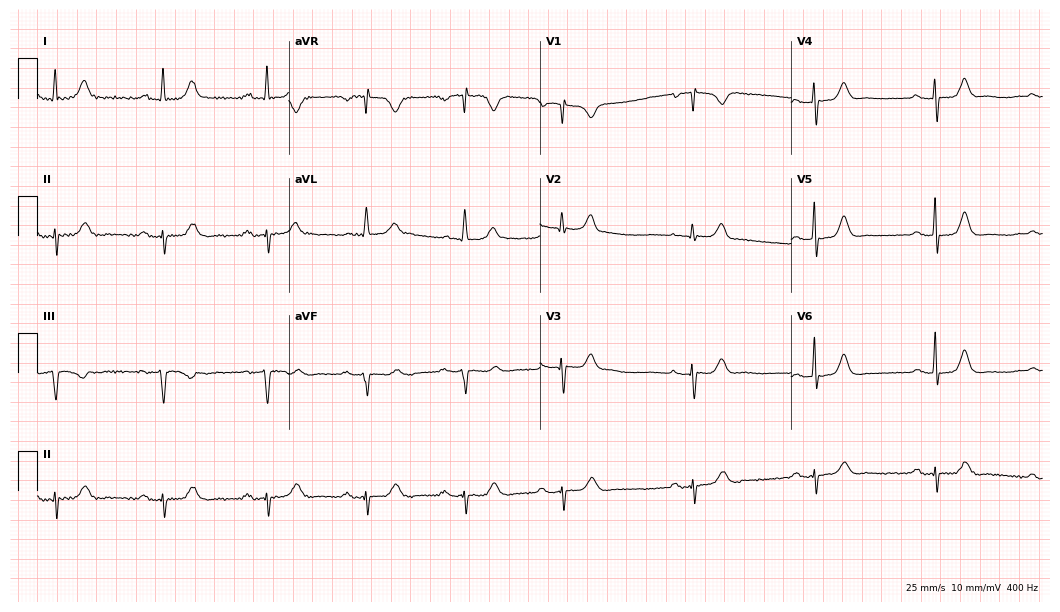
12-lead ECG (10.2-second recording at 400 Hz) from a 69-year-old female. Screened for six findings — first-degree AV block, right bundle branch block (RBBB), left bundle branch block (LBBB), sinus bradycardia, atrial fibrillation (AF), sinus tachycardia — none is recorded.